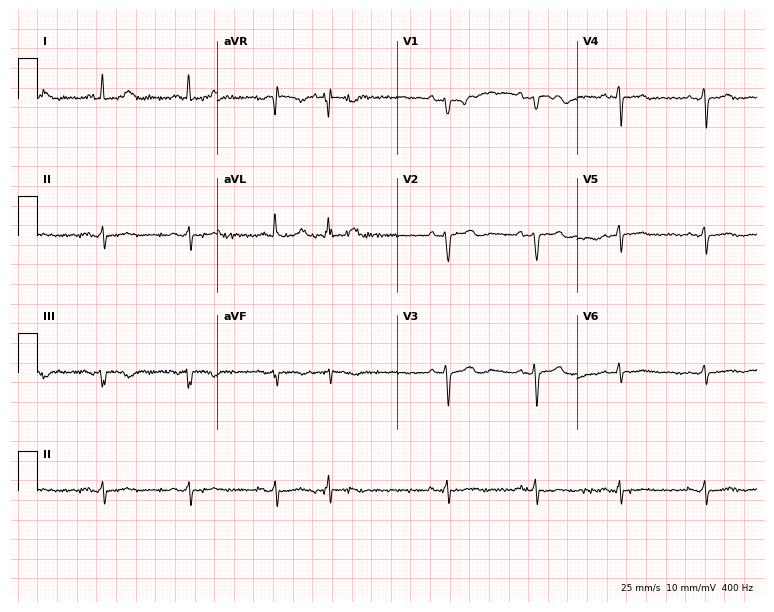
Standard 12-lead ECG recorded from a woman, 72 years old (7.3-second recording at 400 Hz). None of these six findings is recorded: first-degree AV block, right bundle branch block, left bundle branch block, sinus bradycardia, atrial fibrillation, sinus tachycardia. Only these six findings were labelled.